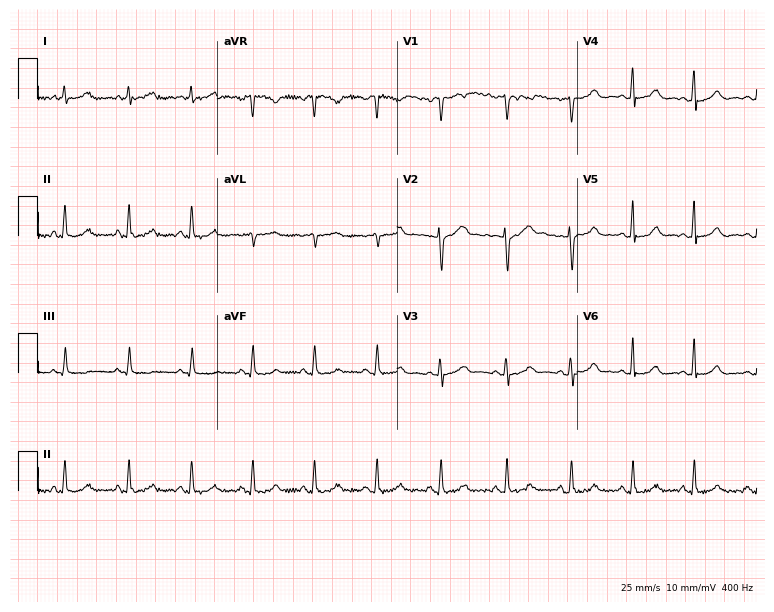
ECG (7.3-second recording at 400 Hz) — a 37-year-old female. Screened for six findings — first-degree AV block, right bundle branch block, left bundle branch block, sinus bradycardia, atrial fibrillation, sinus tachycardia — none is recorded. Other findings, if any, are not listed.